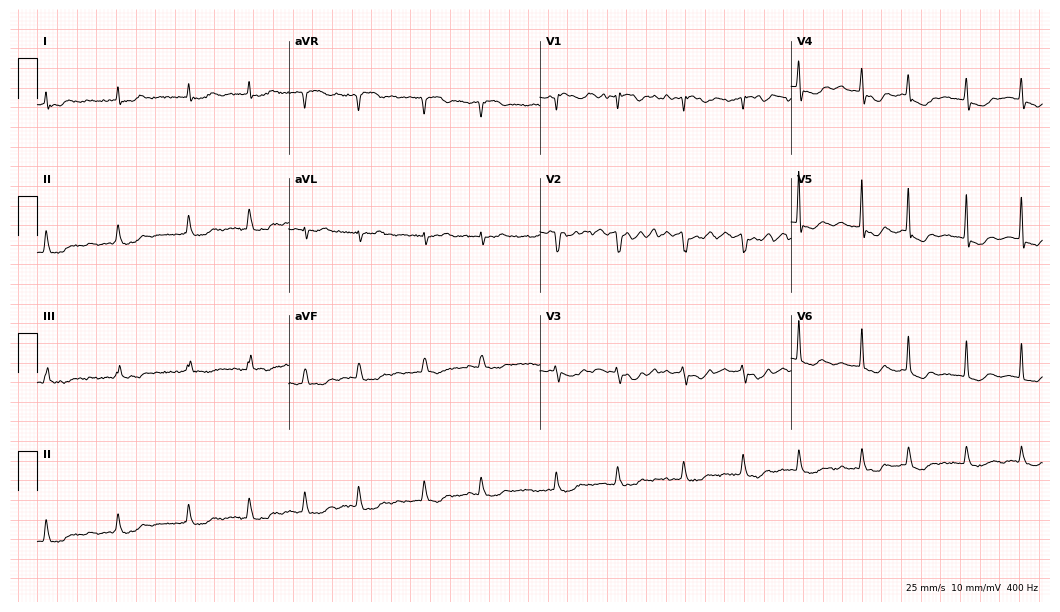
ECG (10.2-second recording at 400 Hz) — an 82-year-old woman. Findings include atrial fibrillation (AF).